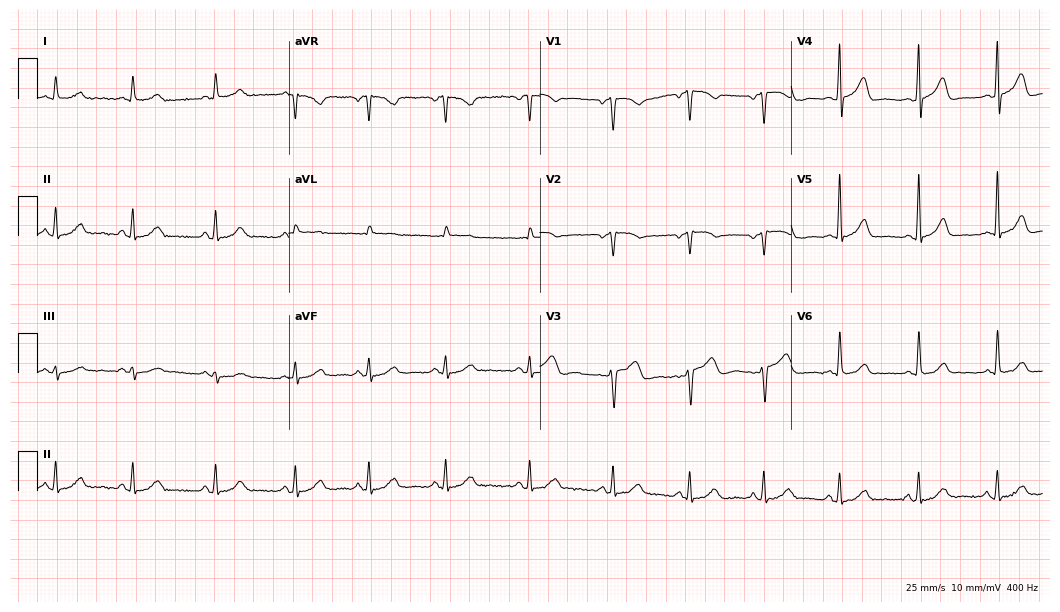
Electrocardiogram (10.2-second recording at 400 Hz), a female patient, 44 years old. Of the six screened findings (first-degree AV block, right bundle branch block, left bundle branch block, sinus bradycardia, atrial fibrillation, sinus tachycardia), none is recorded.